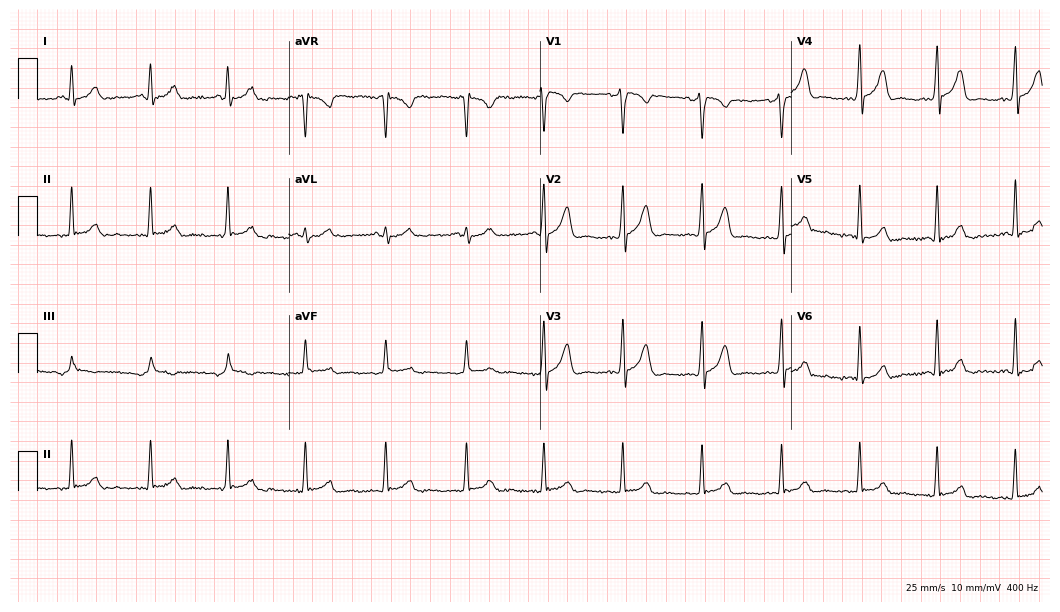
Electrocardiogram, a 22-year-old male. Of the six screened findings (first-degree AV block, right bundle branch block, left bundle branch block, sinus bradycardia, atrial fibrillation, sinus tachycardia), none is recorded.